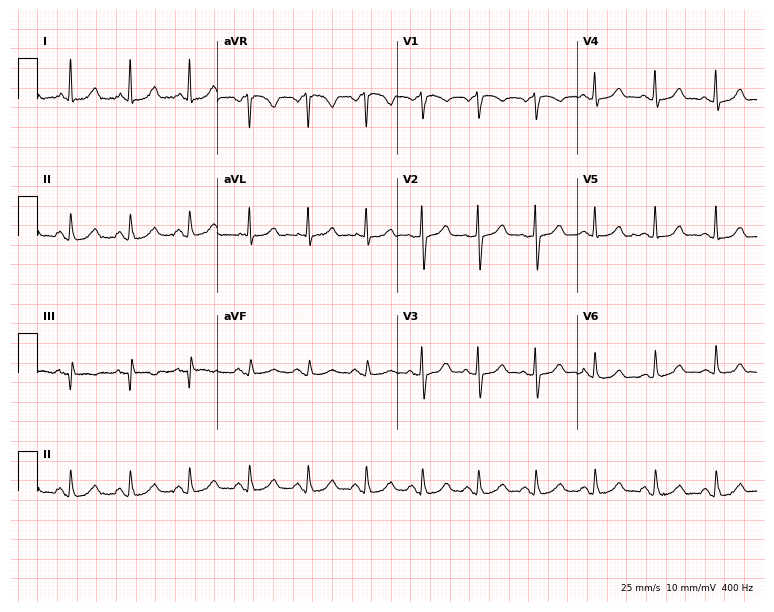
12-lead ECG from a female, 64 years old. Recorded interpretation: within normal limits.